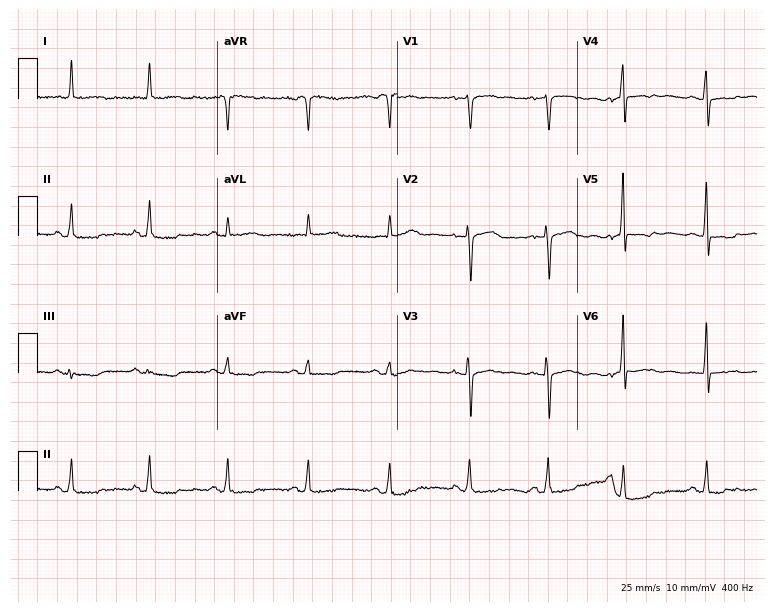
12-lead ECG from a woman, 73 years old. No first-degree AV block, right bundle branch block, left bundle branch block, sinus bradycardia, atrial fibrillation or sinus tachycardia recorded for this tracing. Findings outside these six are not listed.